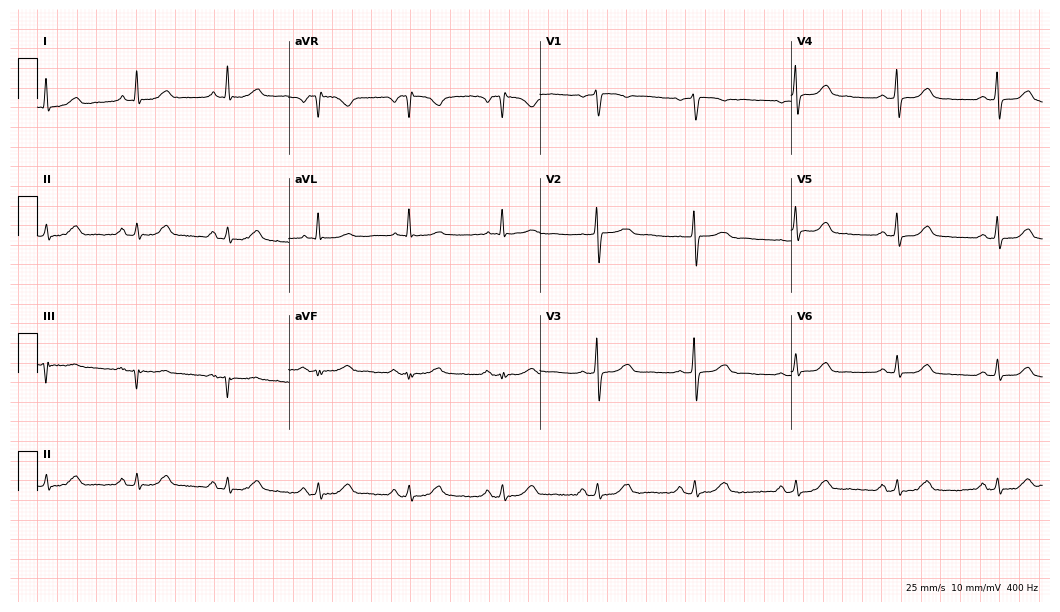
Standard 12-lead ECG recorded from a 59-year-old female patient (10.2-second recording at 400 Hz). Read as a normal ECG.